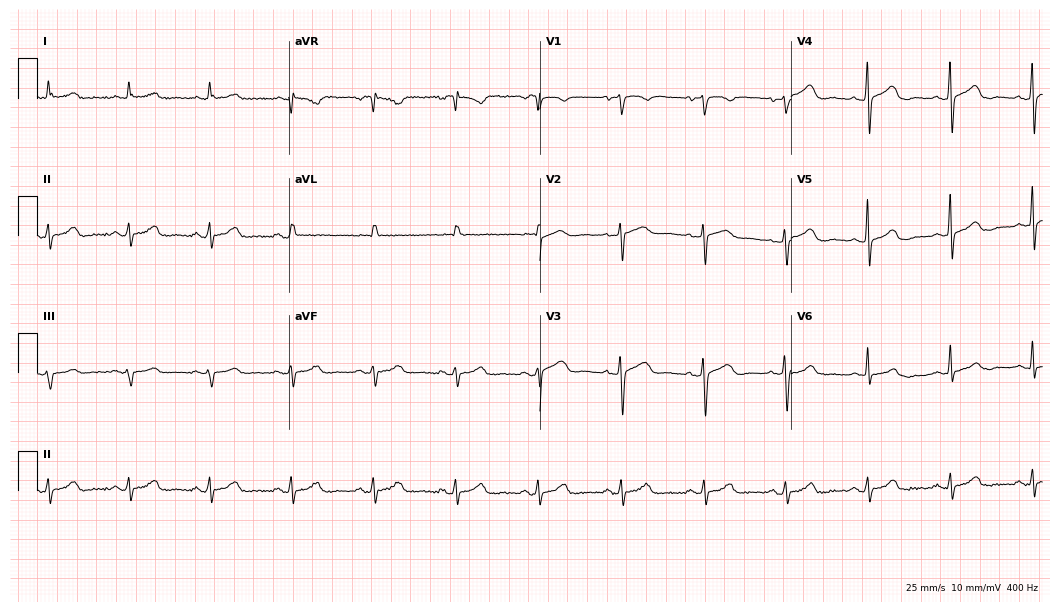
12-lead ECG (10.2-second recording at 400 Hz) from a female, 65 years old. Screened for six findings — first-degree AV block, right bundle branch block, left bundle branch block, sinus bradycardia, atrial fibrillation, sinus tachycardia — none is recorded. Other findings, if any, are not listed.